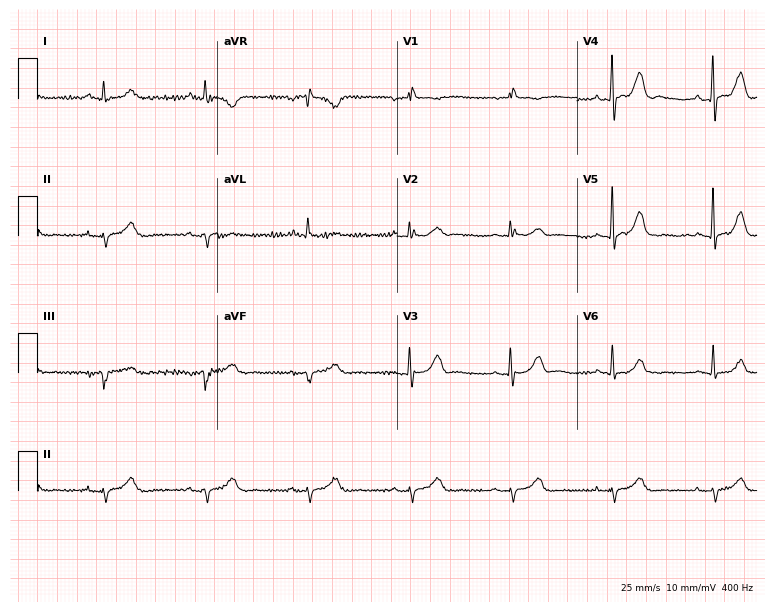
12-lead ECG (7.3-second recording at 400 Hz) from a female, 83 years old. Screened for six findings — first-degree AV block, right bundle branch block, left bundle branch block, sinus bradycardia, atrial fibrillation, sinus tachycardia — none is recorded.